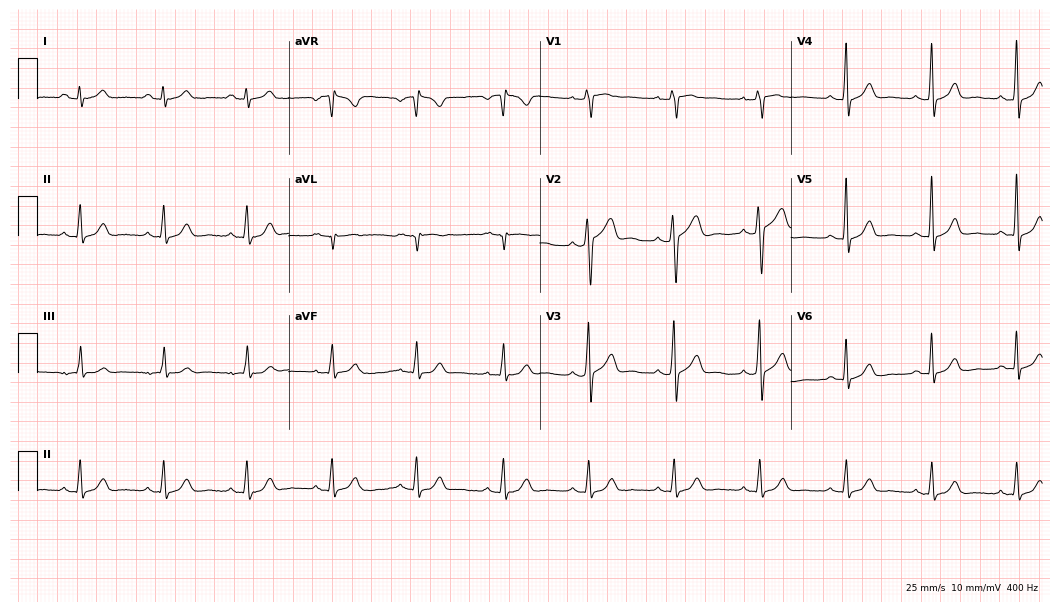
Standard 12-lead ECG recorded from a male, 41 years old (10.2-second recording at 400 Hz). Read as a normal ECG.